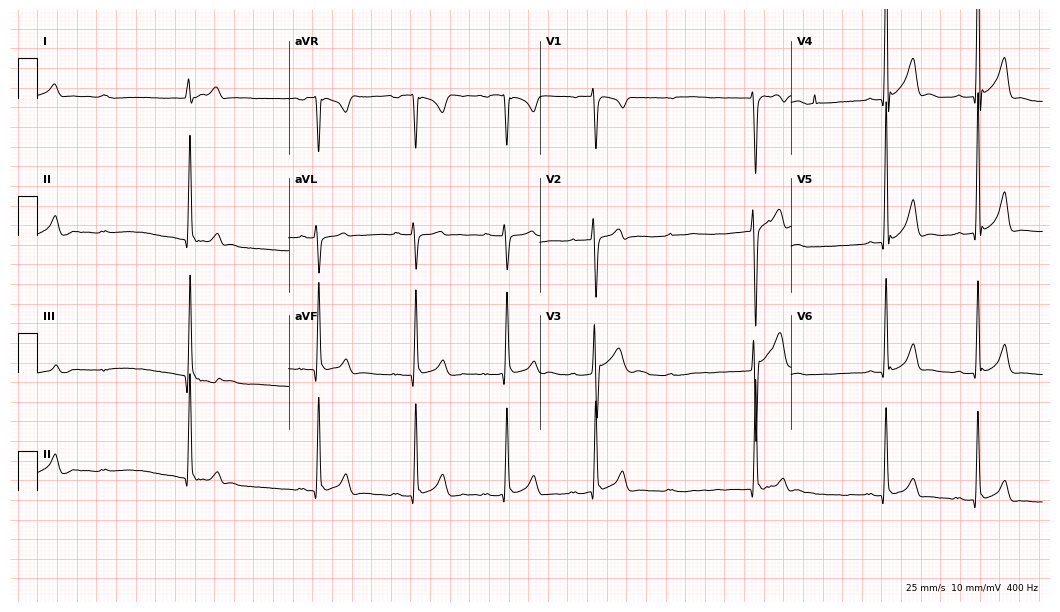
Resting 12-lead electrocardiogram (10.2-second recording at 400 Hz). Patient: a 17-year-old male. None of these six findings is recorded: first-degree AV block, right bundle branch block, left bundle branch block, sinus bradycardia, atrial fibrillation, sinus tachycardia. Findings outside these six are not listed.